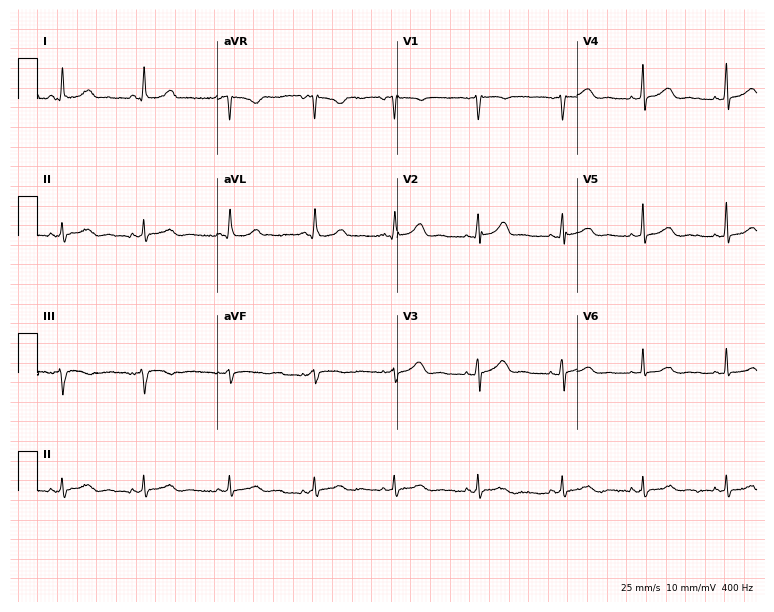
ECG — a woman, 48 years old. Labelled as a normal ECG.